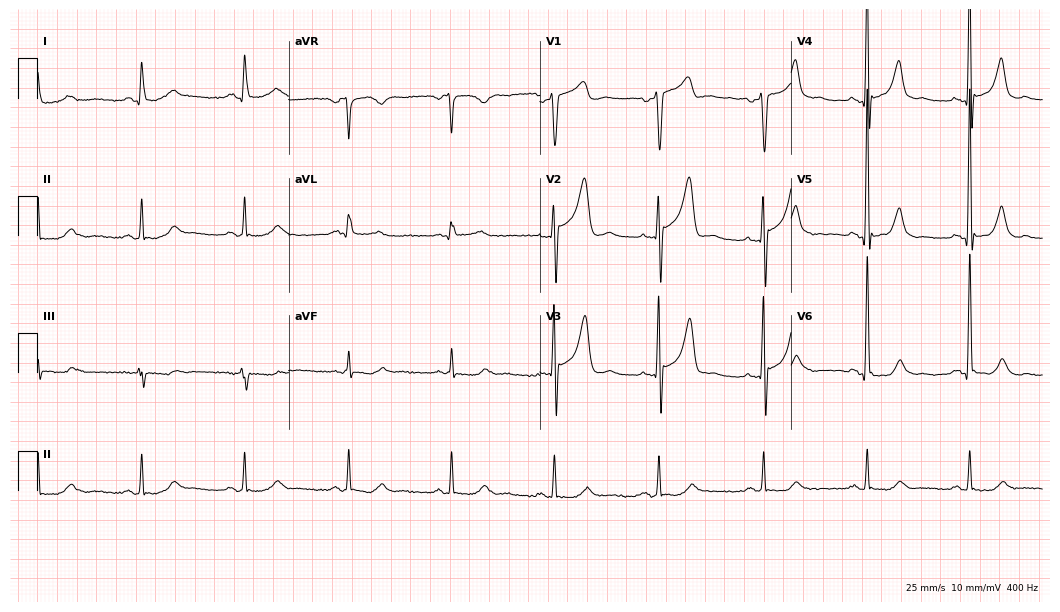
12-lead ECG from a 64-year-old man. No first-degree AV block, right bundle branch block, left bundle branch block, sinus bradycardia, atrial fibrillation or sinus tachycardia recorded for this tracing. Findings outside these six are not listed.